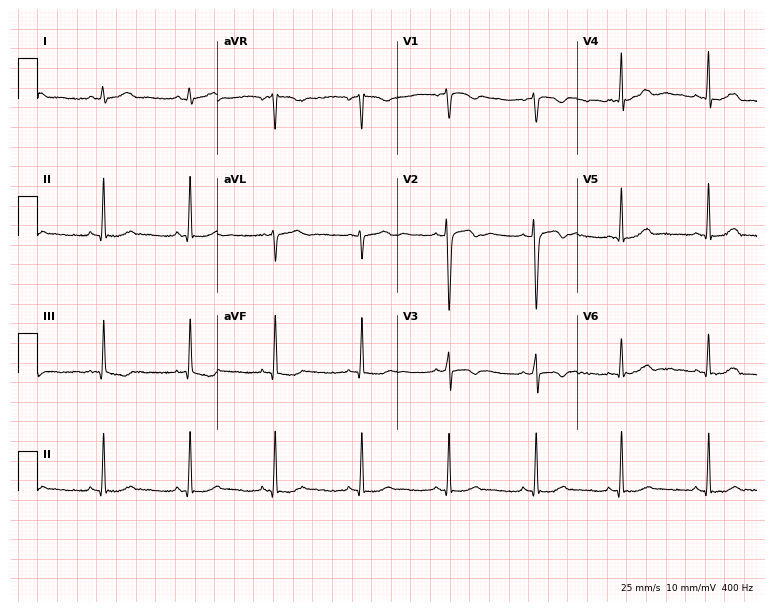
Standard 12-lead ECG recorded from a female, 18 years old (7.3-second recording at 400 Hz). None of these six findings is recorded: first-degree AV block, right bundle branch block (RBBB), left bundle branch block (LBBB), sinus bradycardia, atrial fibrillation (AF), sinus tachycardia.